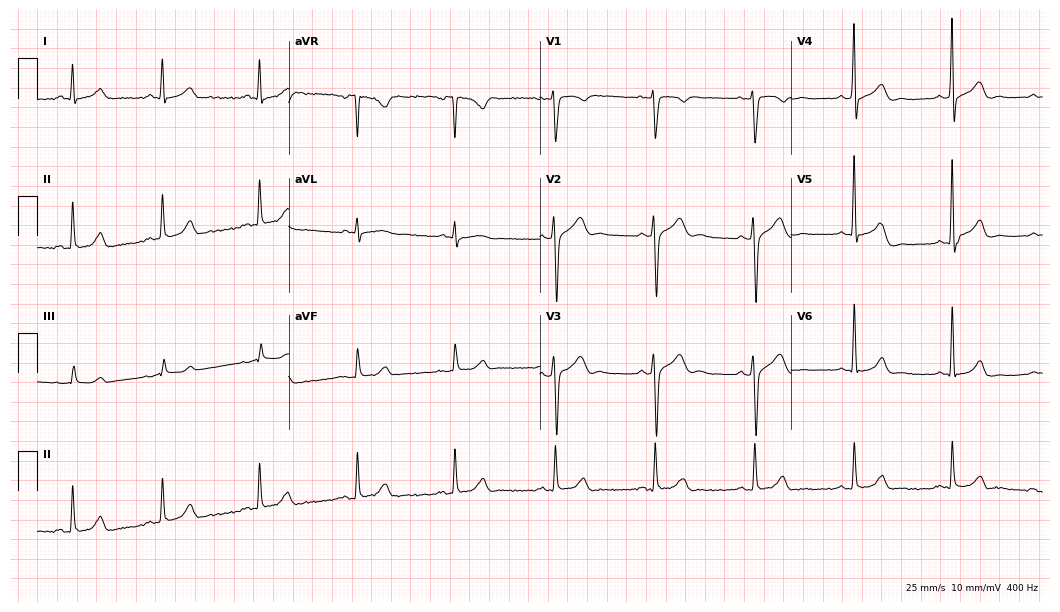
12-lead ECG from a 40-year-old man. Labelled as a normal ECG.